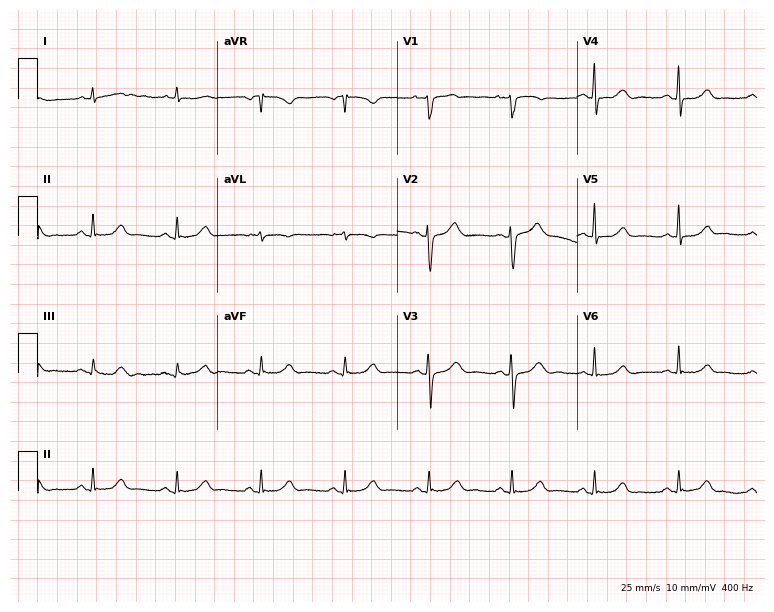
ECG — a 51-year-old woman. Screened for six findings — first-degree AV block, right bundle branch block, left bundle branch block, sinus bradycardia, atrial fibrillation, sinus tachycardia — none is recorded.